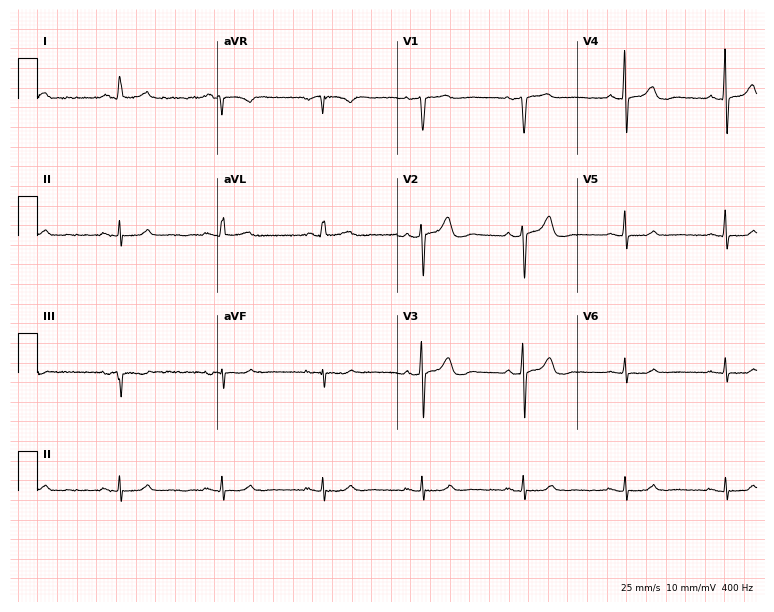
12-lead ECG (7.3-second recording at 400 Hz) from a 64-year-old woman. Labelled as a normal ECG.